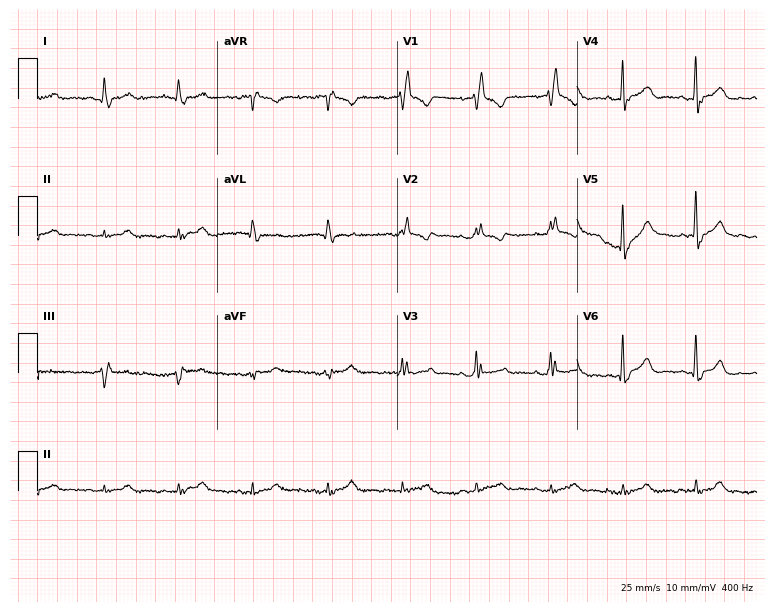
Resting 12-lead electrocardiogram. Patient: a male, 79 years old. The tracing shows right bundle branch block (RBBB).